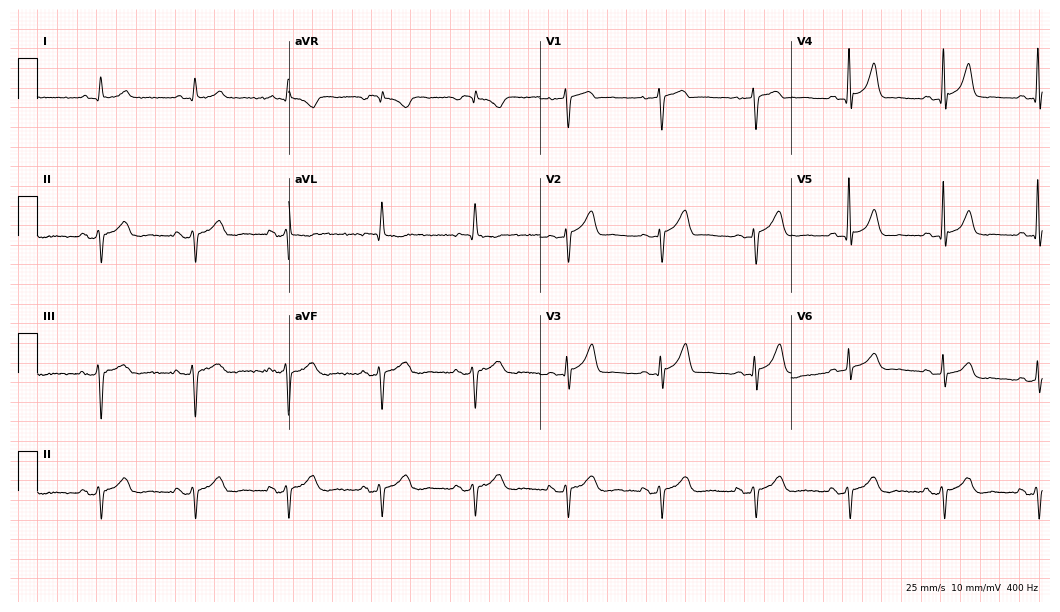
12-lead ECG from a 65-year-old male. No first-degree AV block, right bundle branch block, left bundle branch block, sinus bradycardia, atrial fibrillation or sinus tachycardia recorded for this tracing.